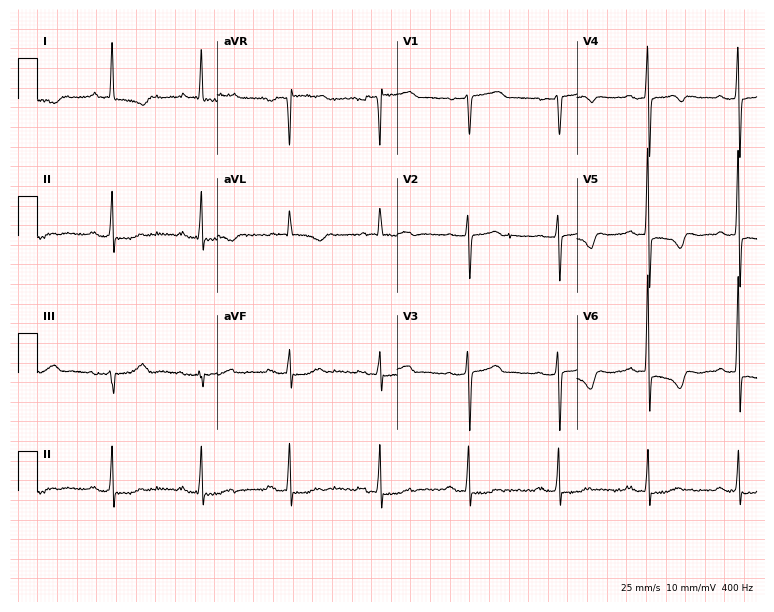
12-lead ECG from an 81-year-old female patient. Screened for six findings — first-degree AV block, right bundle branch block, left bundle branch block, sinus bradycardia, atrial fibrillation, sinus tachycardia — none is recorded.